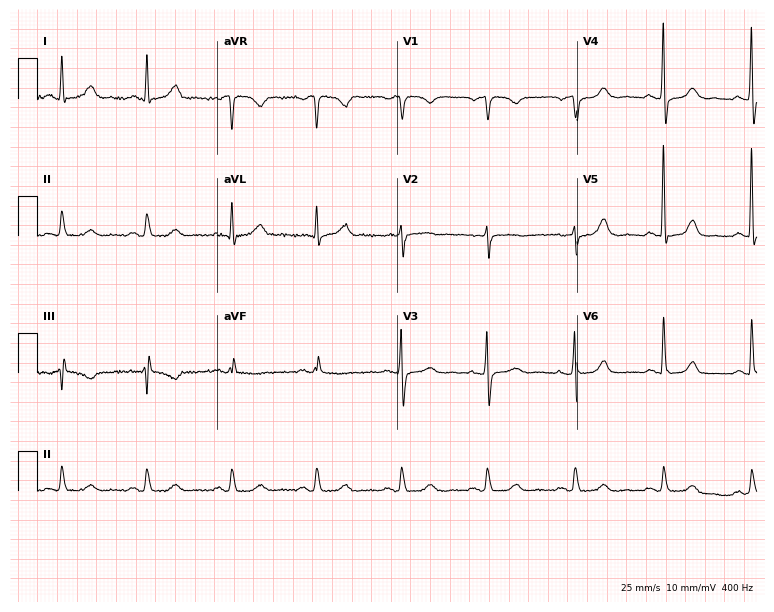
12-lead ECG from a 76-year-old female. No first-degree AV block, right bundle branch block (RBBB), left bundle branch block (LBBB), sinus bradycardia, atrial fibrillation (AF) or sinus tachycardia recorded for this tracing.